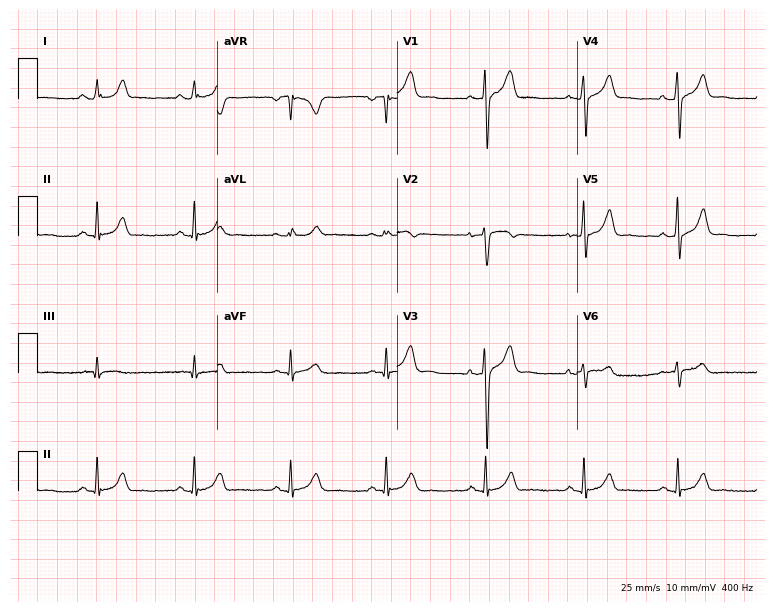
Electrocardiogram, a male patient, 60 years old. Overall reading on record: normal ECG.